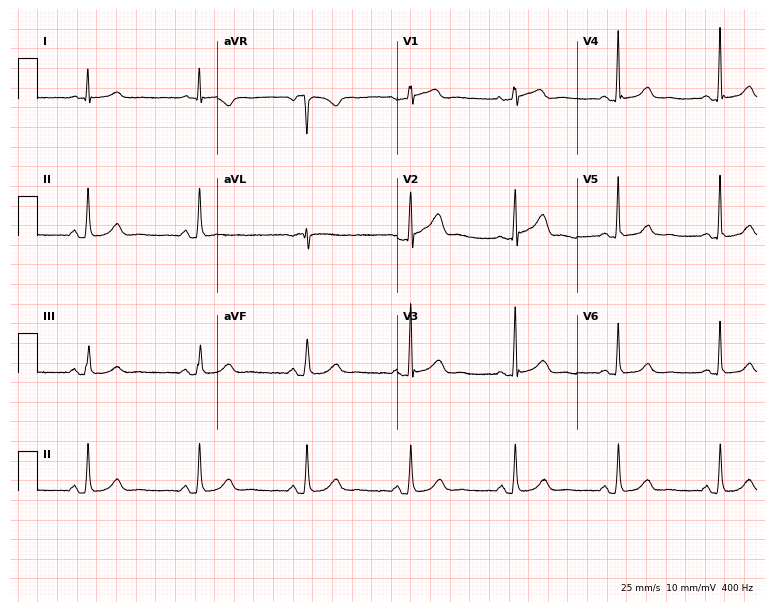
Standard 12-lead ECG recorded from a female, 67 years old (7.3-second recording at 400 Hz). Read as a normal ECG.